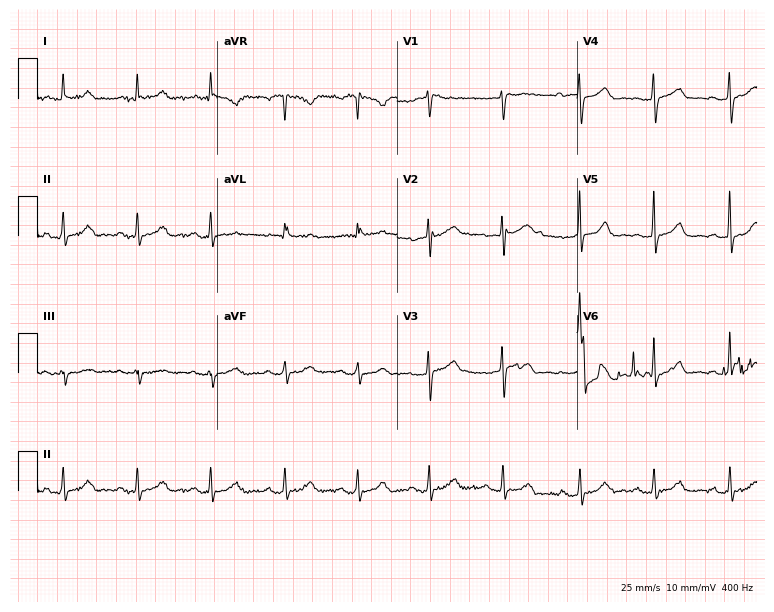
Standard 12-lead ECG recorded from a 42-year-old female. None of these six findings is recorded: first-degree AV block, right bundle branch block (RBBB), left bundle branch block (LBBB), sinus bradycardia, atrial fibrillation (AF), sinus tachycardia. Findings outside these six are not listed.